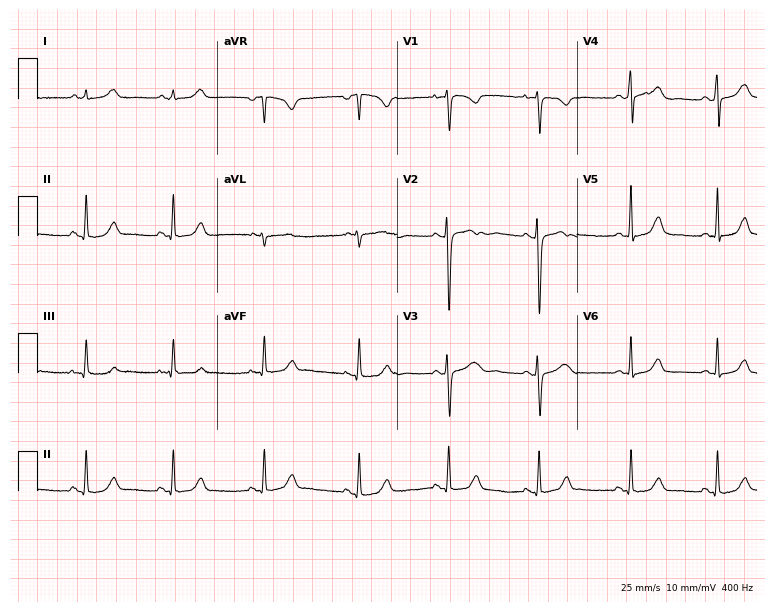
Electrocardiogram, a 41-year-old woman. Of the six screened findings (first-degree AV block, right bundle branch block (RBBB), left bundle branch block (LBBB), sinus bradycardia, atrial fibrillation (AF), sinus tachycardia), none is recorded. Findings outside these six are not listed.